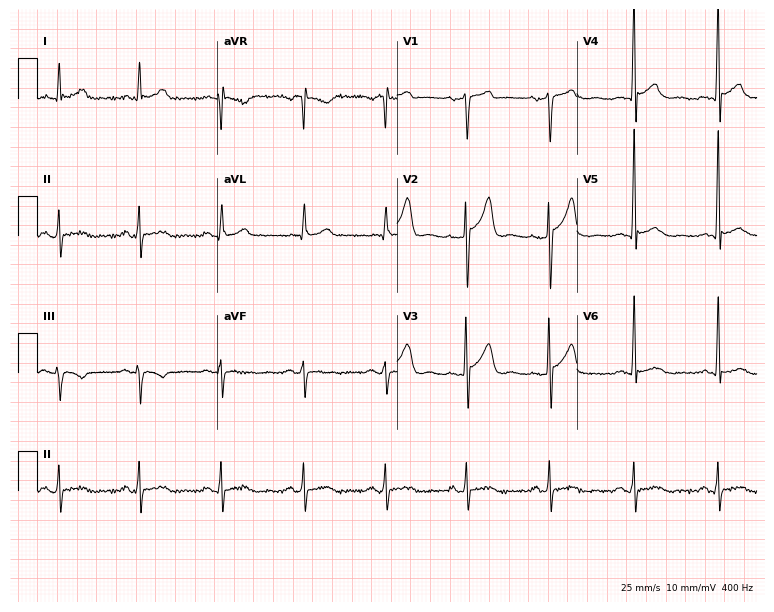
ECG (7.3-second recording at 400 Hz) — a 41-year-old man. Screened for six findings — first-degree AV block, right bundle branch block (RBBB), left bundle branch block (LBBB), sinus bradycardia, atrial fibrillation (AF), sinus tachycardia — none is recorded.